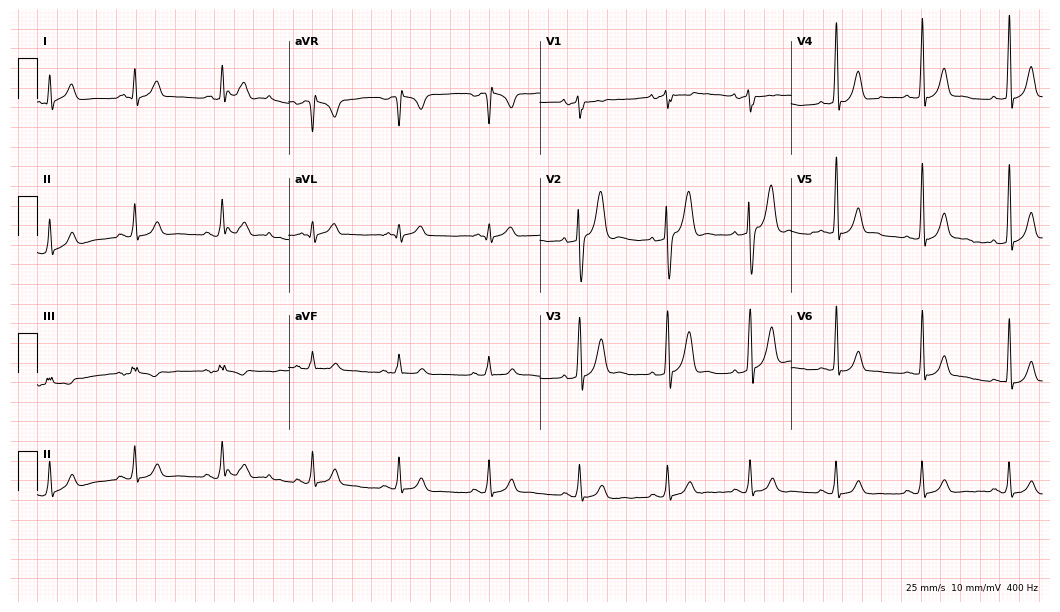
12-lead ECG from a man, 32 years old (10.2-second recording at 400 Hz). No first-degree AV block, right bundle branch block, left bundle branch block, sinus bradycardia, atrial fibrillation or sinus tachycardia recorded for this tracing. Other findings, if any, are not listed.